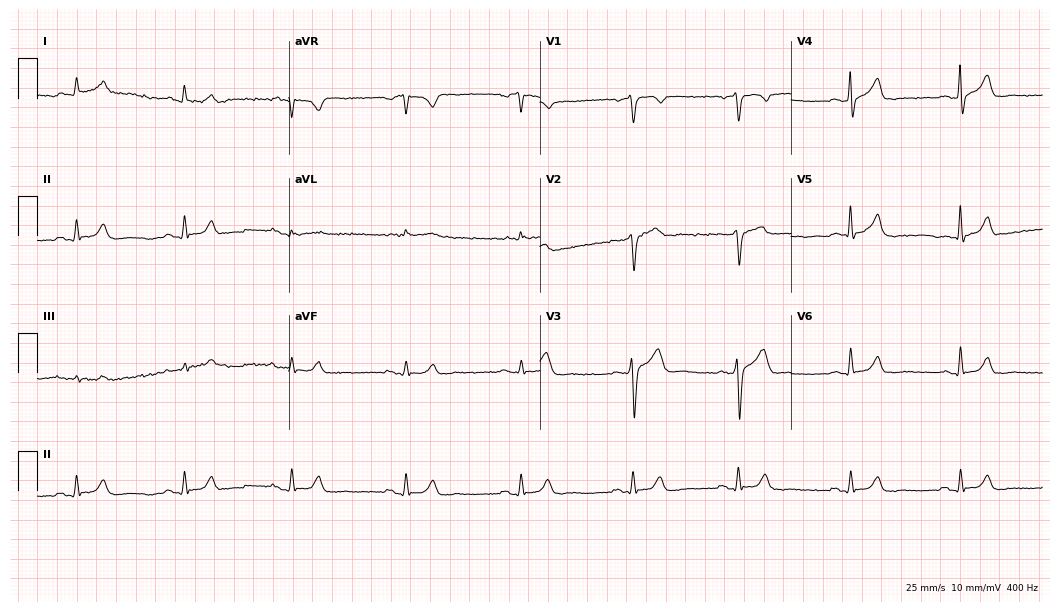
Resting 12-lead electrocardiogram (10.2-second recording at 400 Hz). Patient: a 53-year-old male. None of these six findings is recorded: first-degree AV block, right bundle branch block, left bundle branch block, sinus bradycardia, atrial fibrillation, sinus tachycardia.